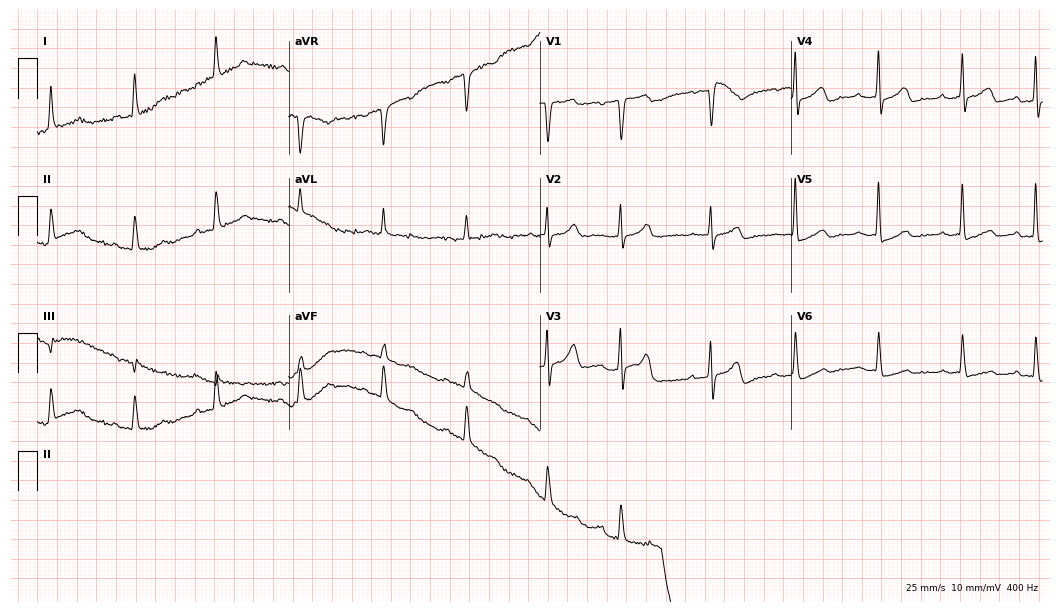
Resting 12-lead electrocardiogram. Patient: an 89-year-old female. None of these six findings is recorded: first-degree AV block, right bundle branch block, left bundle branch block, sinus bradycardia, atrial fibrillation, sinus tachycardia. Only these six findings were labelled.